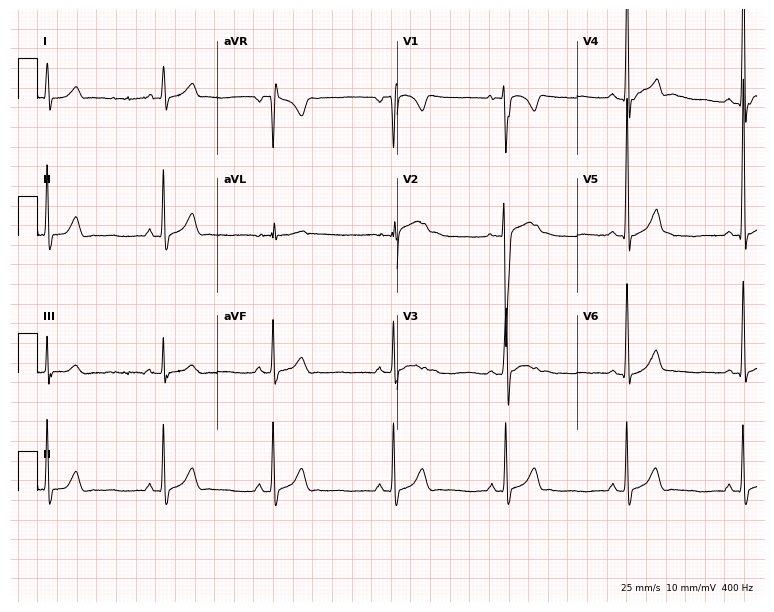
12-lead ECG from a male patient, 17 years old. Recorded interpretation: within normal limits.